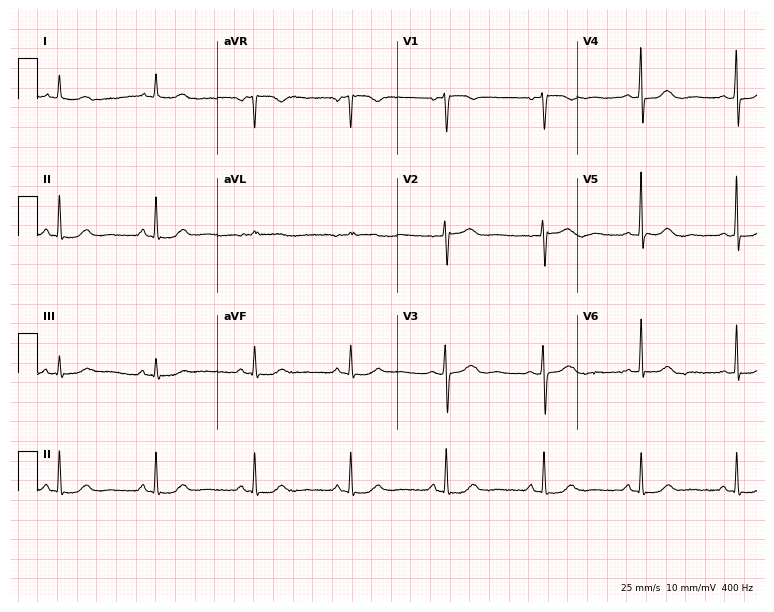
Standard 12-lead ECG recorded from a female, 68 years old (7.3-second recording at 400 Hz). Read as a normal ECG.